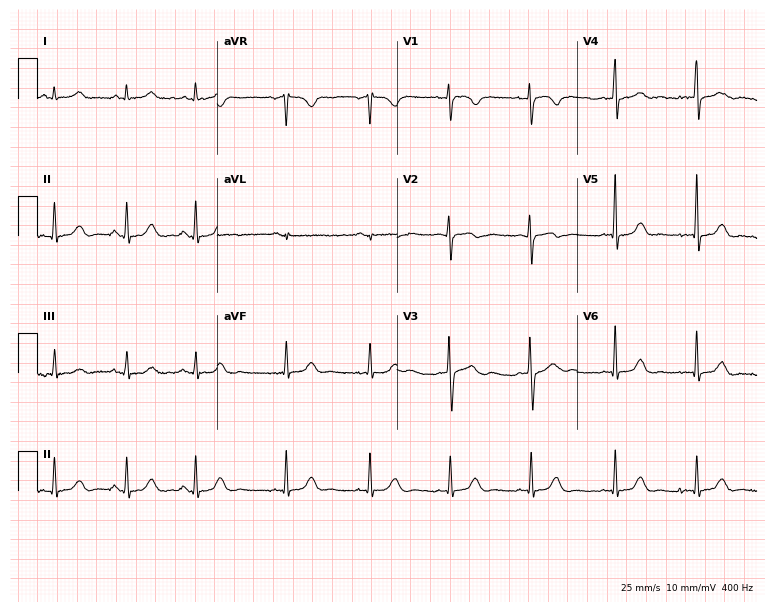
Electrocardiogram (7.3-second recording at 400 Hz), a female, 29 years old. Overall reading on record: normal ECG.